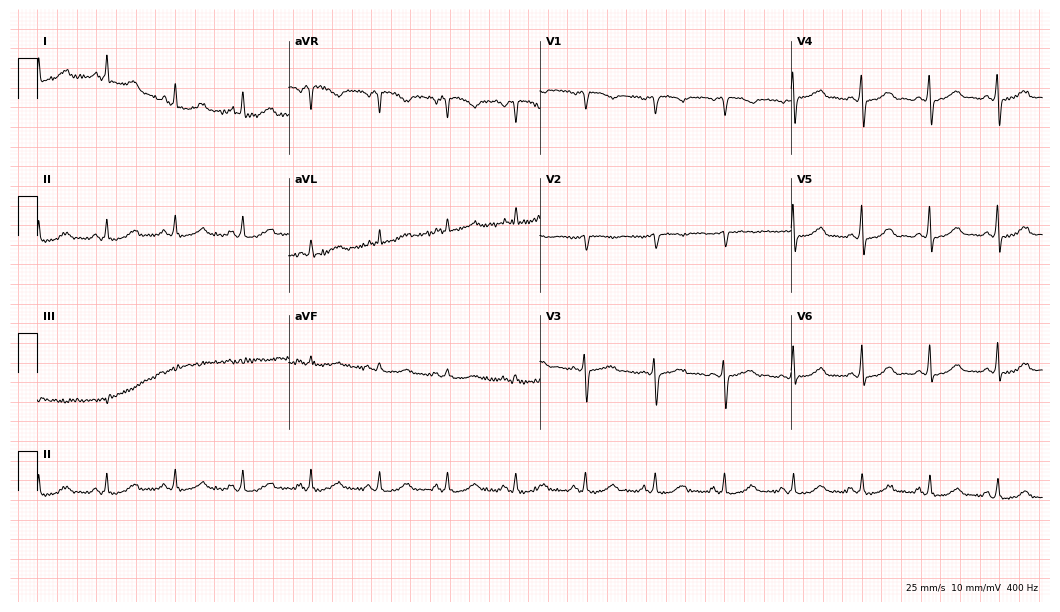
12-lead ECG from a 46-year-old female patient (10.2-second recording at 400 Hz). Recorded interpretation: within normal limits.